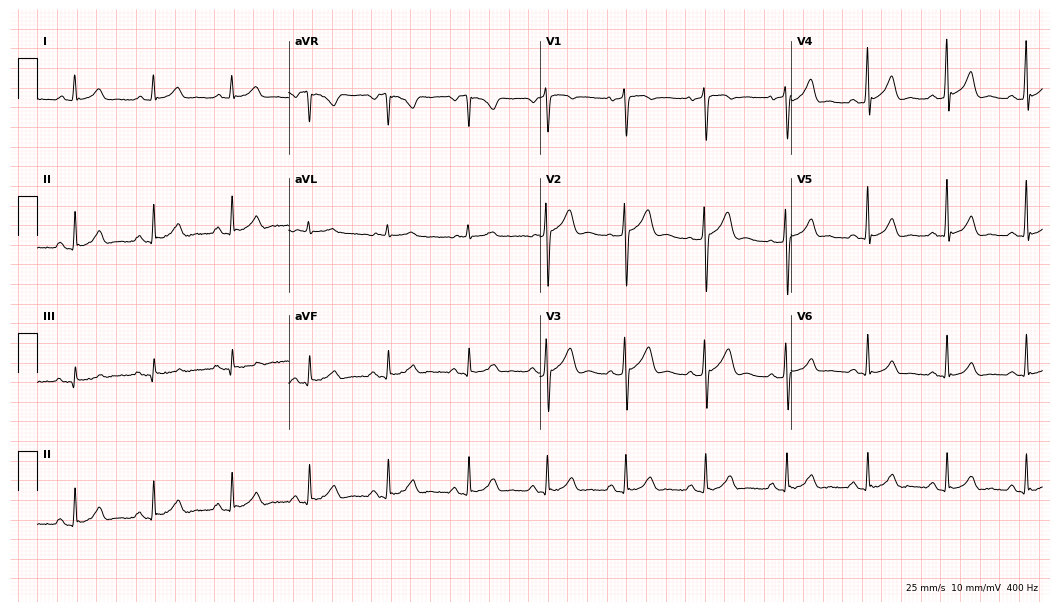
ECG — a male, 61 years old. Labelled as a normal ECG.